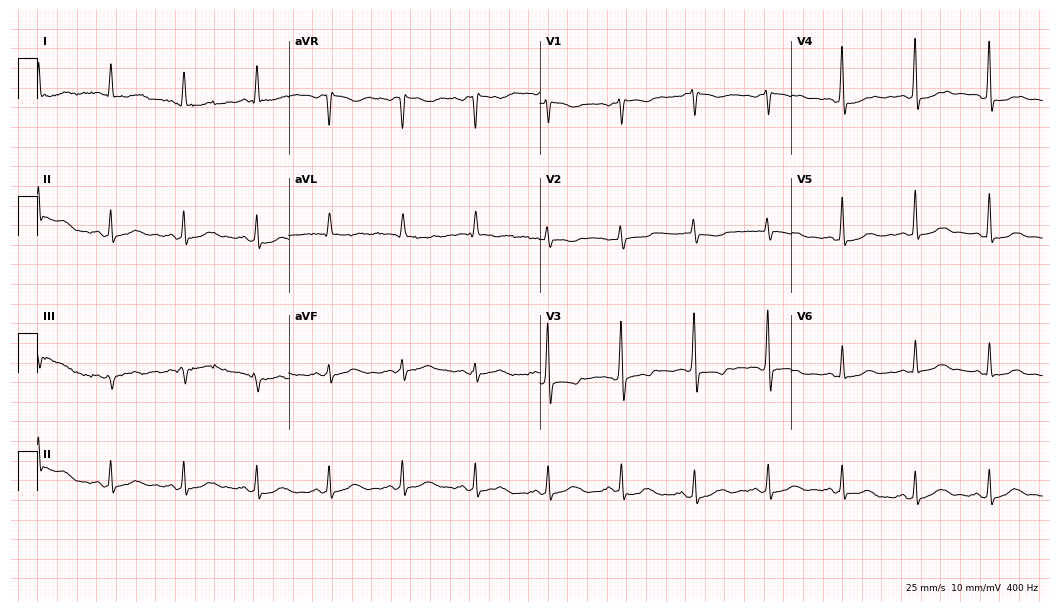
Standard 12-lead ECG recorded from a 45-year-old woman. None of these six findings is recorded: first-degree AV block, right bundle branch block, left bundle branch block, sinus bradycardia, atrial fibrillation, sinus tachycardia. Other findings, if any, are not listed.